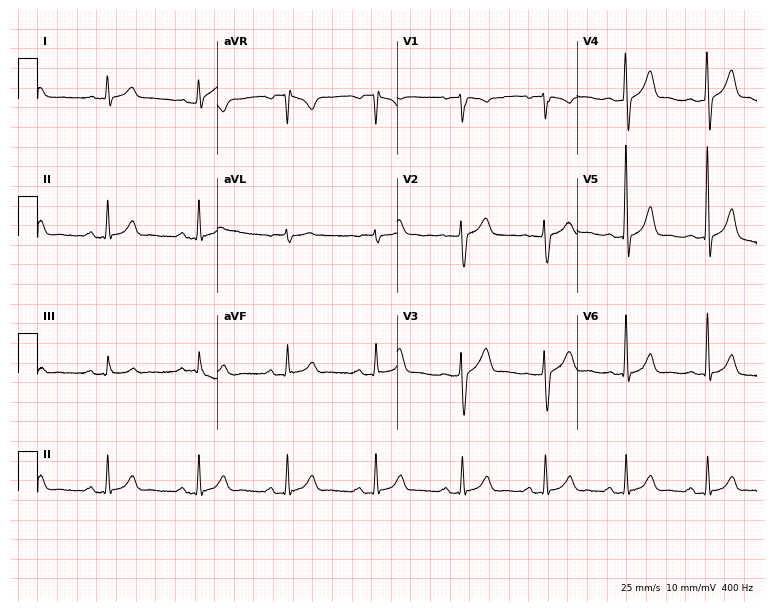
Standard 12-lead ECG recorded from a 38-year-old male. Read as a normal ECG.